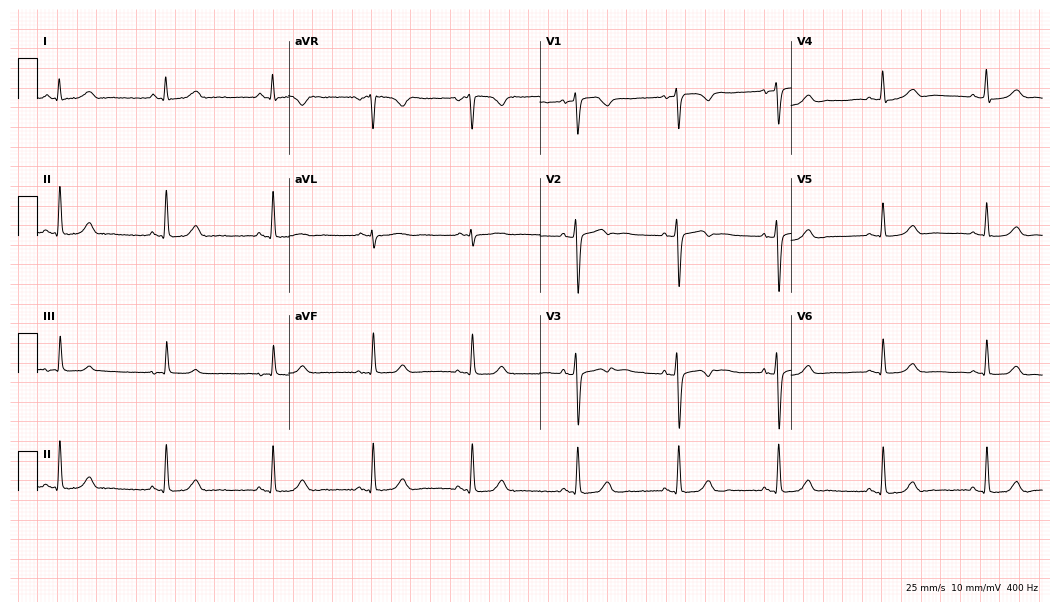
Resting 12-lead electrocardiogram (10.2-second recording at 400 Hz). Patient: a 32-year-old female. Read as a normal ECG.